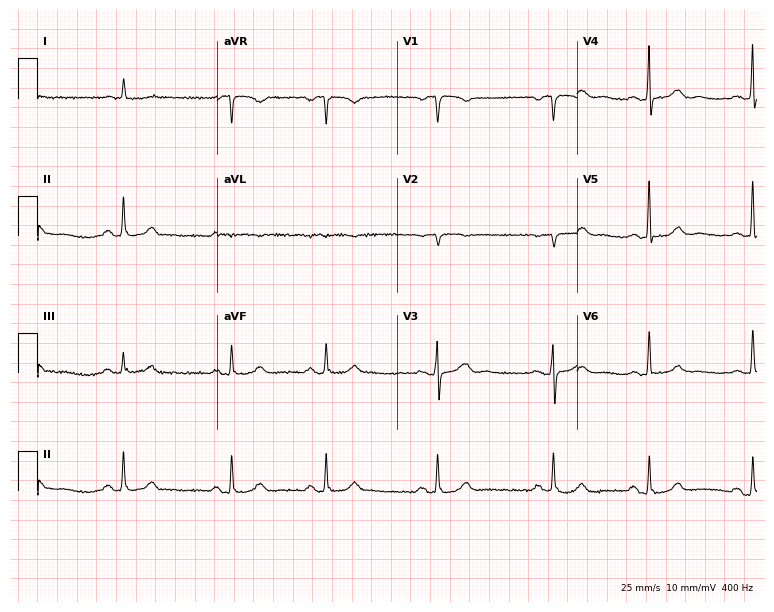
ECG (7.3-second recording at 400 Hz) — a female patient, 60 years old. Screened for six findings — first-degree AV block, right bundle branch block, left bundle branch block, sinus bradycardia, atrial fibrillation, sinus tachycardia — none is recorded. Other findings, if any, are not listed.